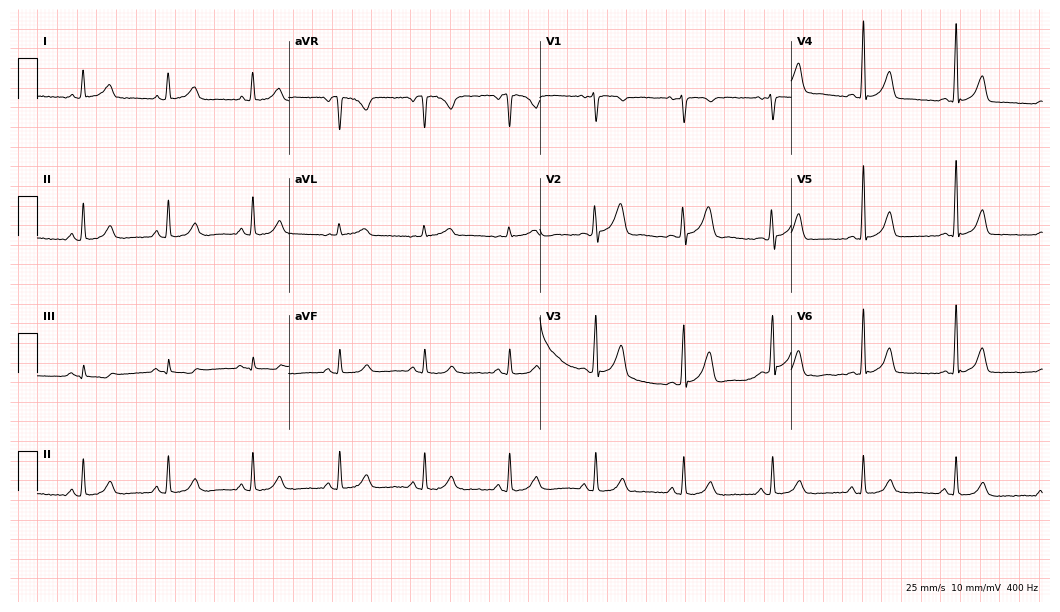
Standard 12-lead ECG recorded from a woman, 44 years old (10.2-second recording at 400 Hz). Read as a normal ECG.